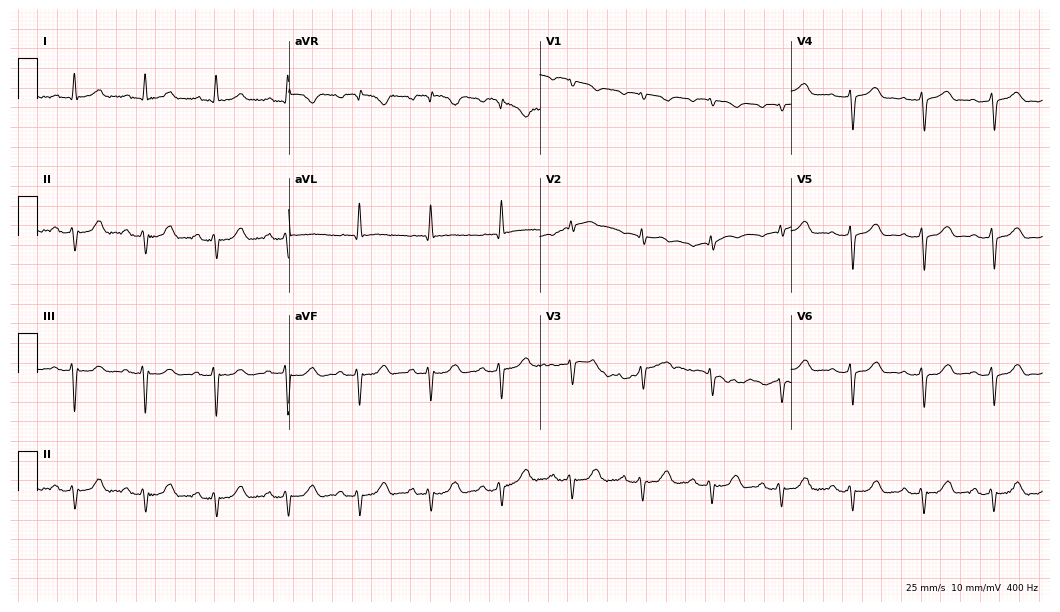
Resting 12-lead electrocardiogram (10.2-second recording at 400 Hz). Patient: a 71-year-old female. None of these six findings is recorded: first-degree AV block, right bundle branch block, left bundle branch block, sinus bradycardia, atrial fibrillation, sinus tachycardia.